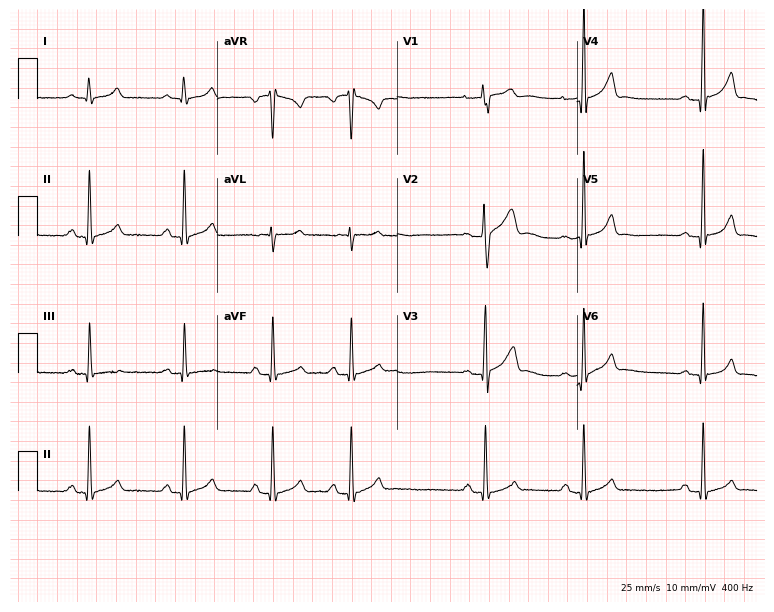
12-lead ECG from a 24-year-old man. Labelled as a normal ECG.